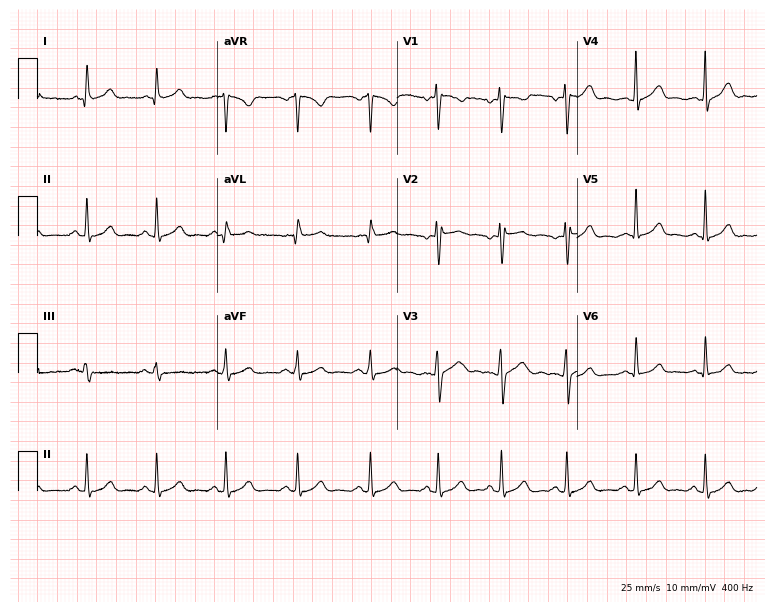
Resting 12-lead electrocardiogram (7.3-second recording at 400 Hz). Patient: a female, 28 years old. Read as a normal ECG.